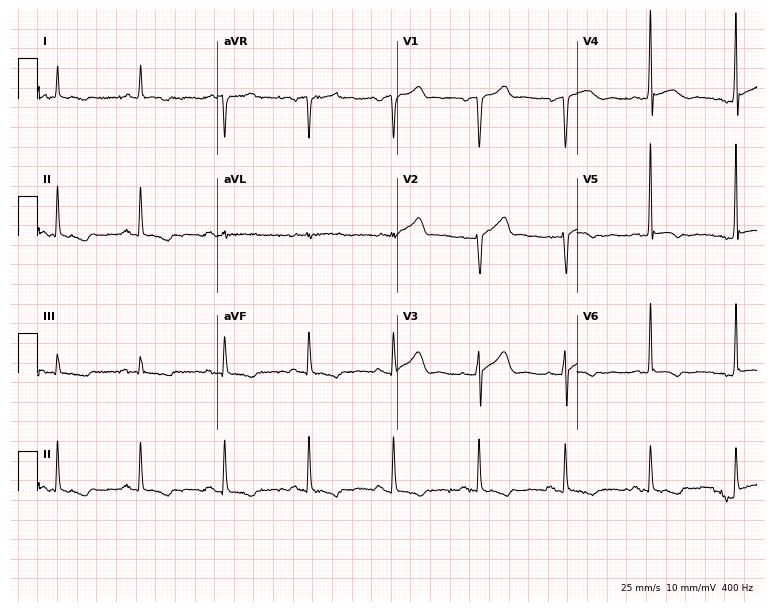
ECG — an 18-year-old male. Screened for six findings — first-degree AV block, right bundle branch block, left bundle branch block, sinus bradycardia, atrial fibrillation, sinus tachycardia — none is recorded. Other findings, if any, are not listed.